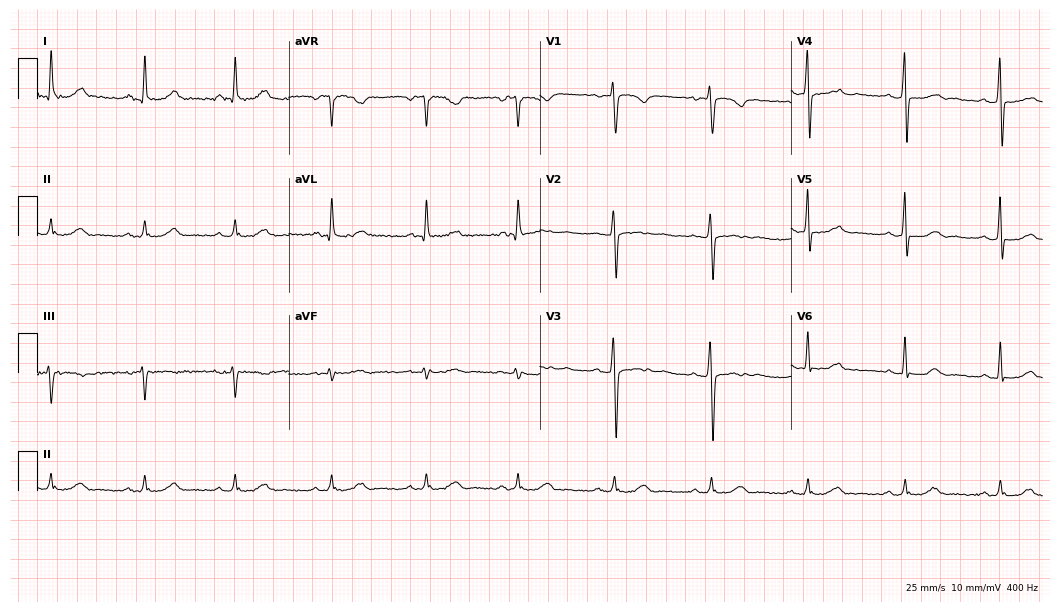
Electrocardiogram, a 43-year-old female patient. Overall reading on record: normal ECG.